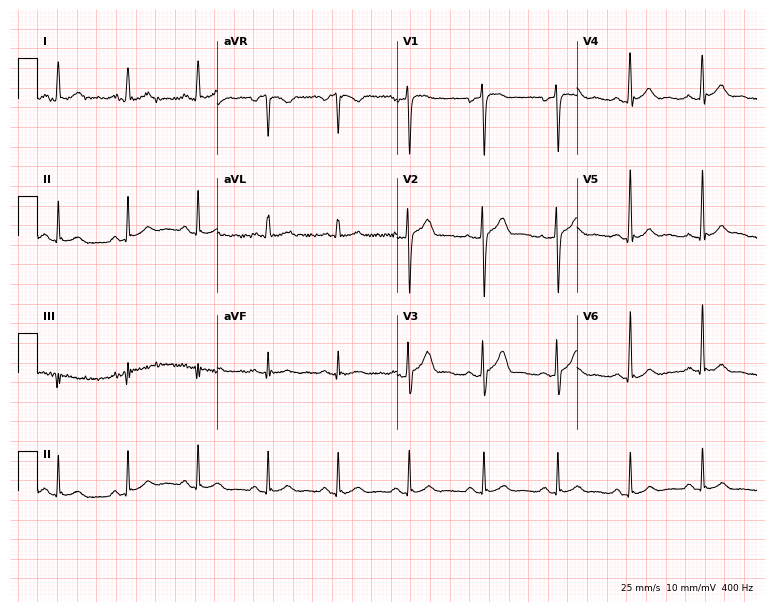
12-lead ECG (7.3-second recording at 400 Hz) from a male patient, 39 years old. Labelled as a normal ECG.